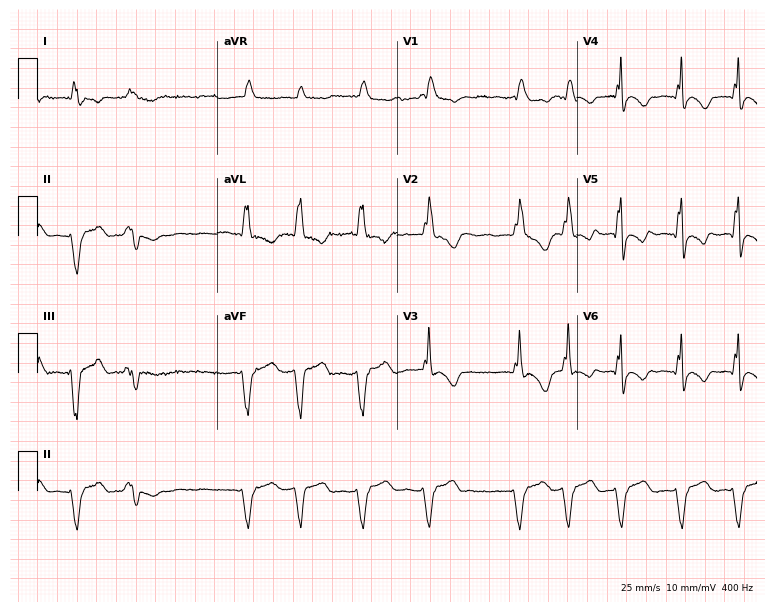
Resting 12-lead electrocardiogram. Patient: a male, 45 years old. The tracing shows right bundle branch block, atrial fibrillation.